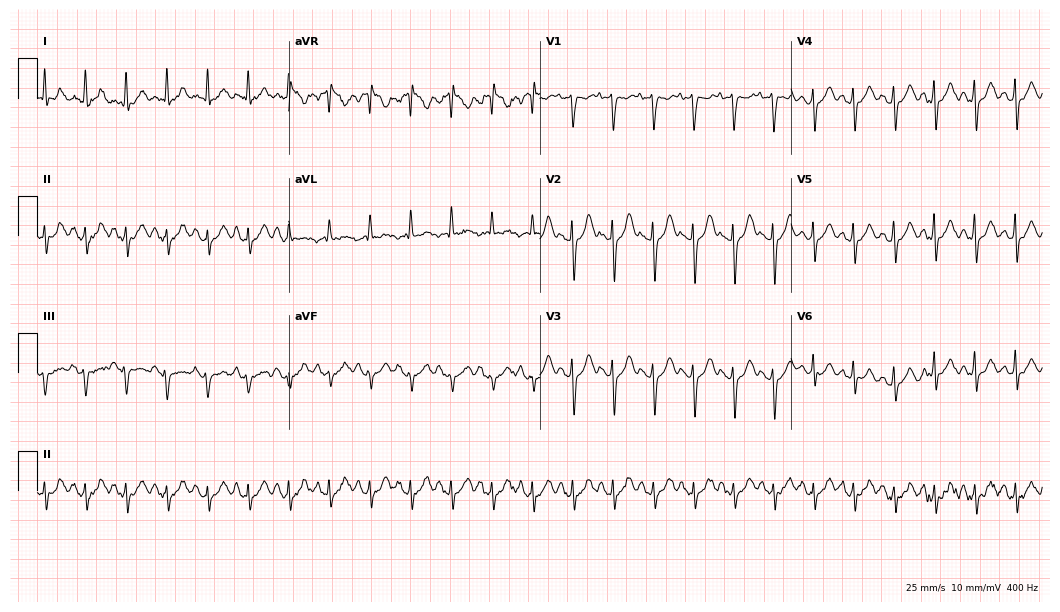
ECG (10.2-second recording at 400 Hz) — a woman, 49 years old. Findings include sinus tachycardia (a sinus rate of 100 beats per minute or more).